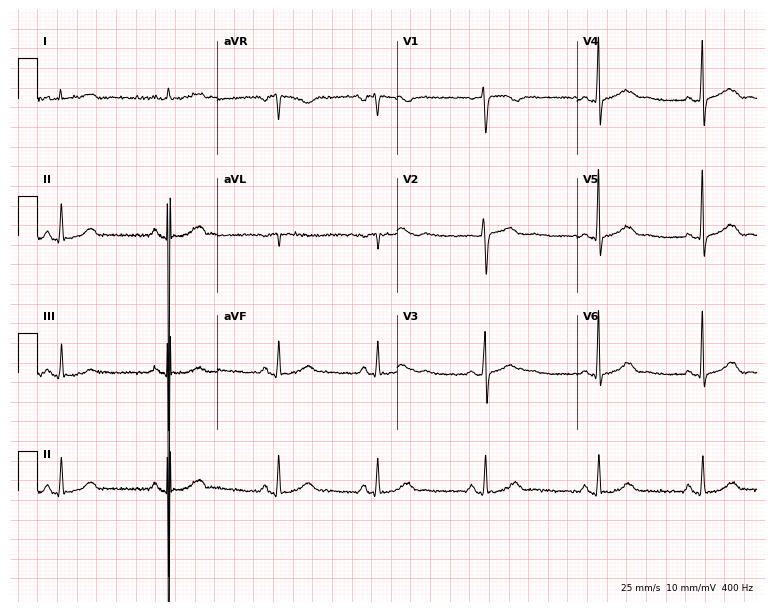
Standard 12-lead ECG recorded from a 53-year-old female patient (7.3-second recording at 400 Hz). None of these six findings is recorded: first-degree AV block, right bundle branch block (RBBB), left bundle branch block (LBBB), sinus bradycardia, atrial fibrillation (AF), sinus tachycardia. Only these six findings were labelled.